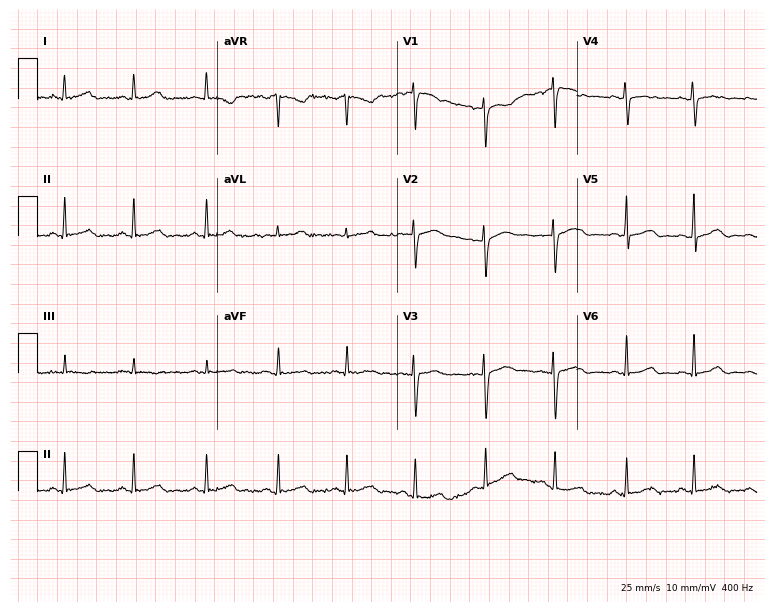
ECG — a 34-year-old female. Labelled as a normal ECG.